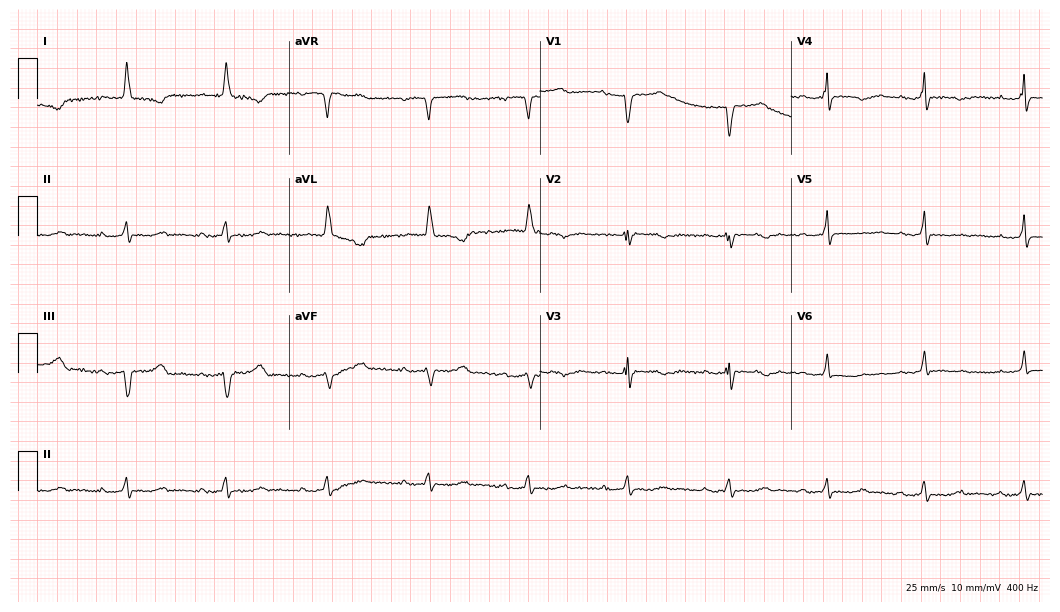
Standard 12-lead ECG recorded from an 80-year-old female patient (10.2-second recording at 400 Hz). The tracing shows first-degree AV block.